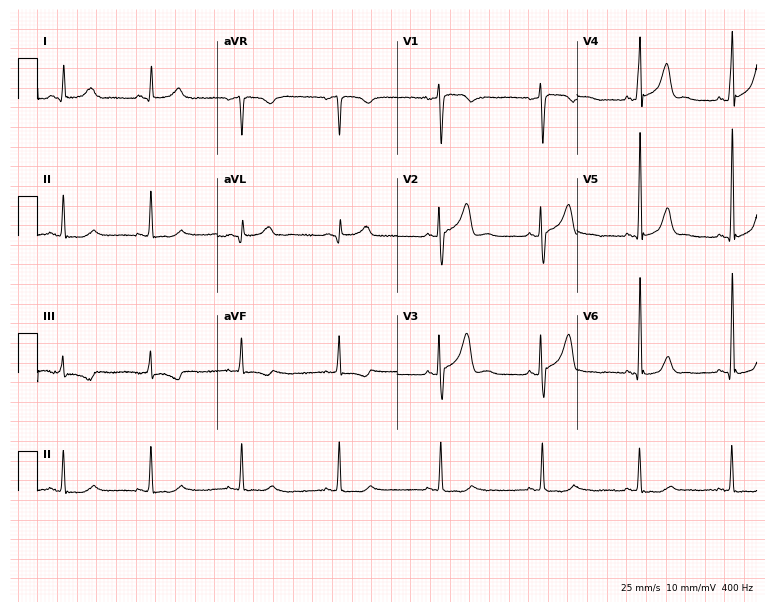
Standard 12-lead ECG recorded from a 52-year-old woman. None of these six findings is recorded: first-degree AV block, right bundle branch block (RBBB), left bundle branch block (LBBB), sinus bradycardia, atrial fibrillation (AF), sinus tachycardia. Only these six findings were labelled.